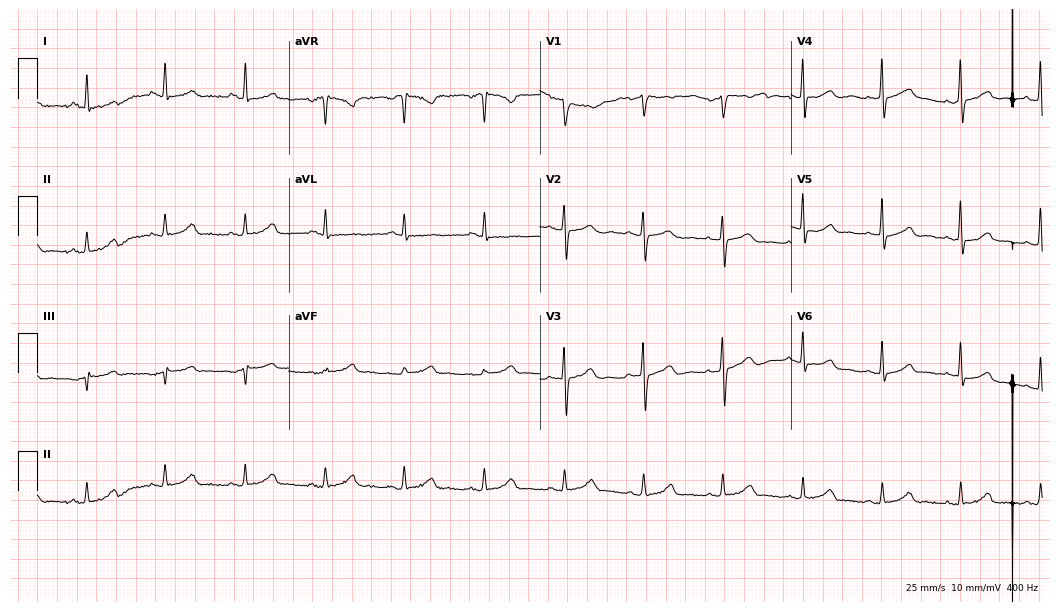
Standard 12-lead ECG recorded from a 65-year-old female (10.2-second recording at 400 Hz). Read as a normal ECG.